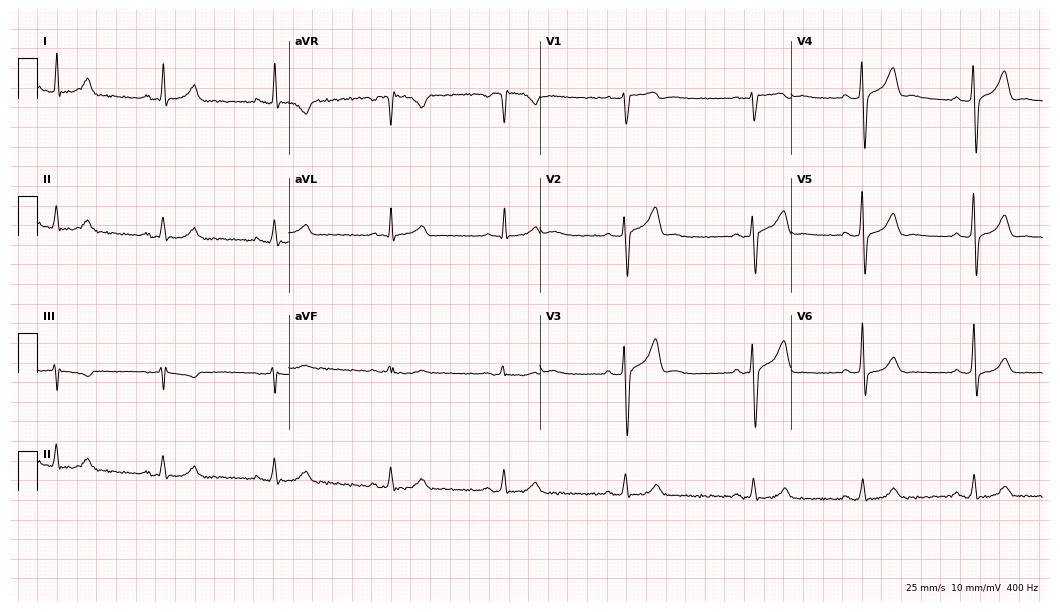
12-lead ECG from a male, 53 years old. Recorded interpretation: within normal limits.